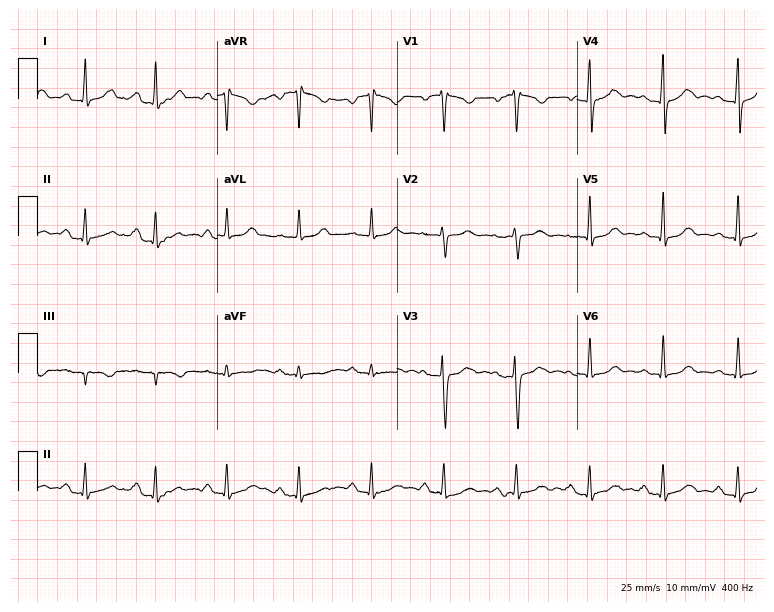
12-lead ECG from a man, 56 years old. Labelled as a normal ECG.